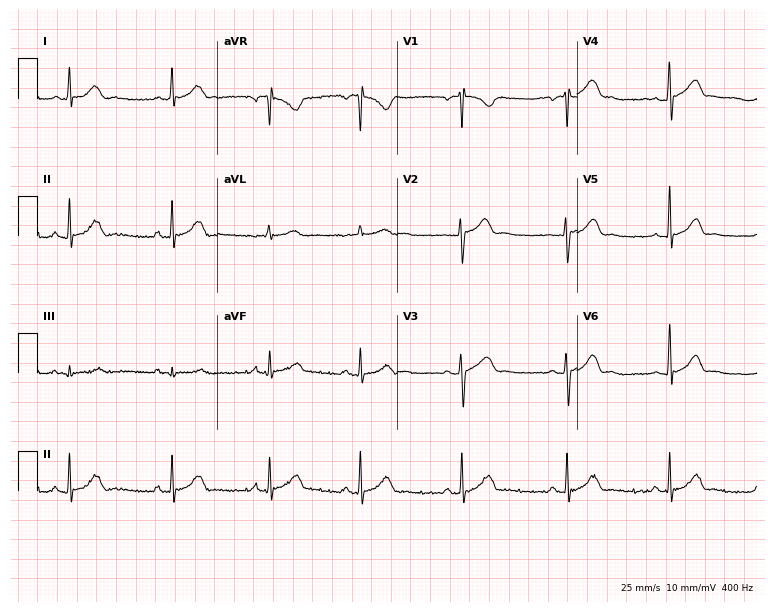
ECG (7.3-second recording at 400 Hz) — a 21-year-old man. Labelled as a normal ECG.